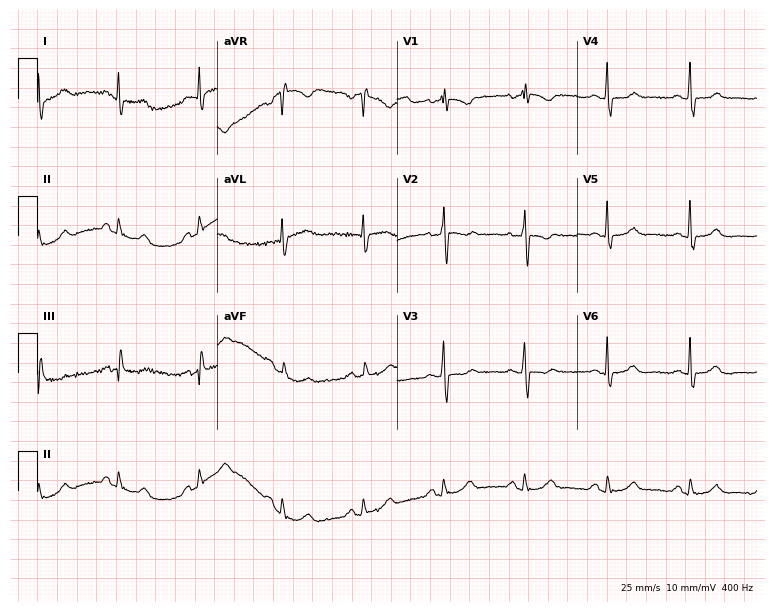
12-lead ECG from a 69-year-old female patient. No first-degree AV block, right bundle branch block (RBBB), left bundle branch block (LBBB), sinus bradycardia, atrial fibrillation (AF) or sinus tachycardia recorded for this tracing. Other findings, if any, are not listed.